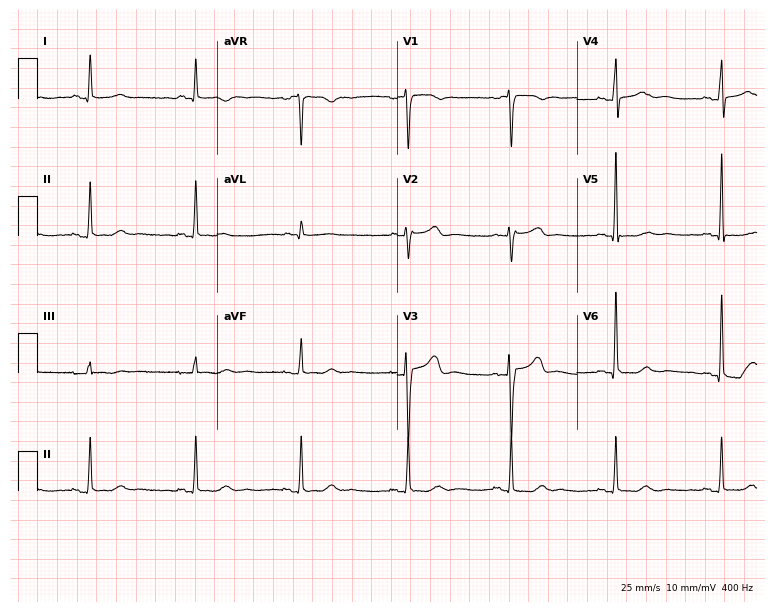
ECG — a 60-year-old woman. Labelled as a normal ECG.